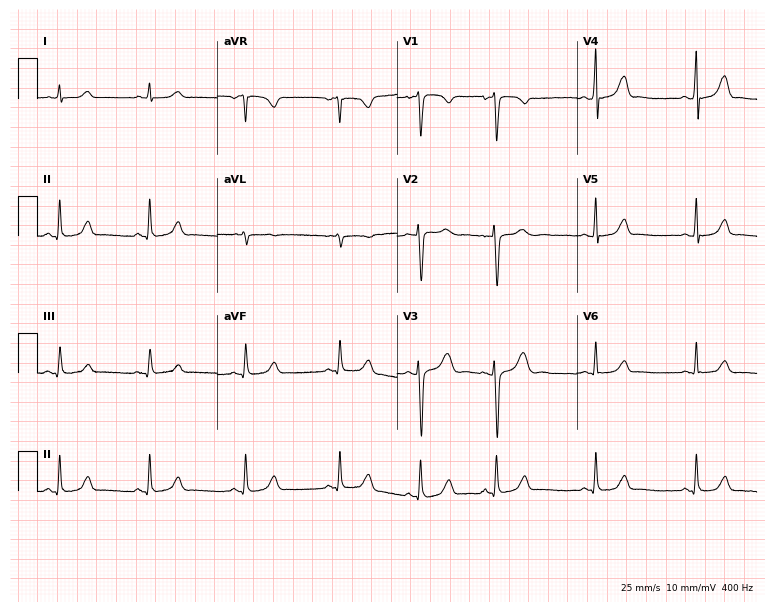
Electrocardiogram (7.3-second recording at 400 Hz), a female, 19 years old. Overall reading on record: normal ECG.